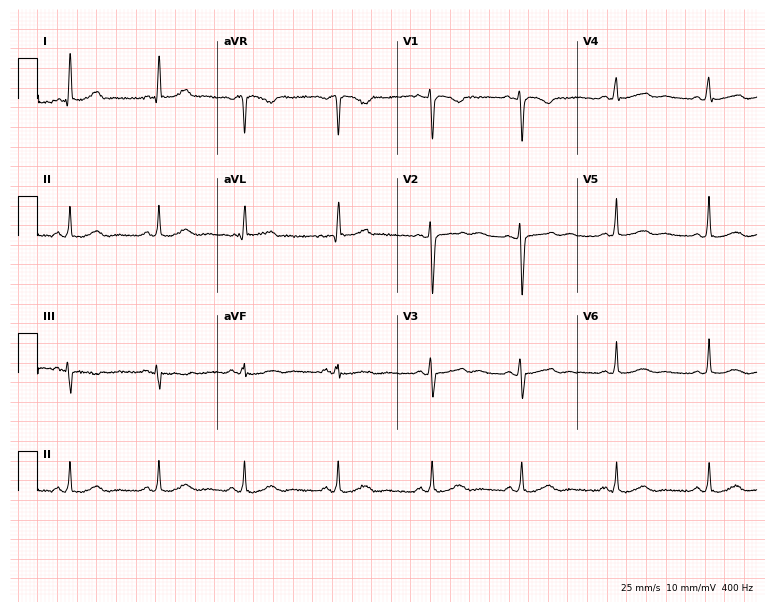
Electrocardiogram (7.3-second recording at 400 Hz), a 42-year-old woman. Overall reading on record: normal ECG.